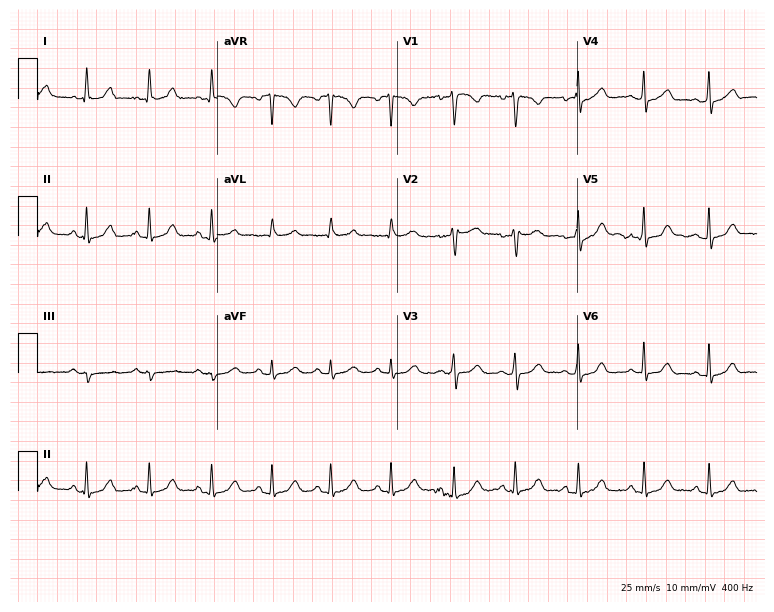
ECG (7.3-second recording at 400 Hz) — a woman, 37 years old. Screened for six findings — first-degree AV block, right bundle branch block, left bundle branch block, sinus bradycardia, atrial fibrillation, sinus tachycardia — none is recorded. Only these six findings were labelled.